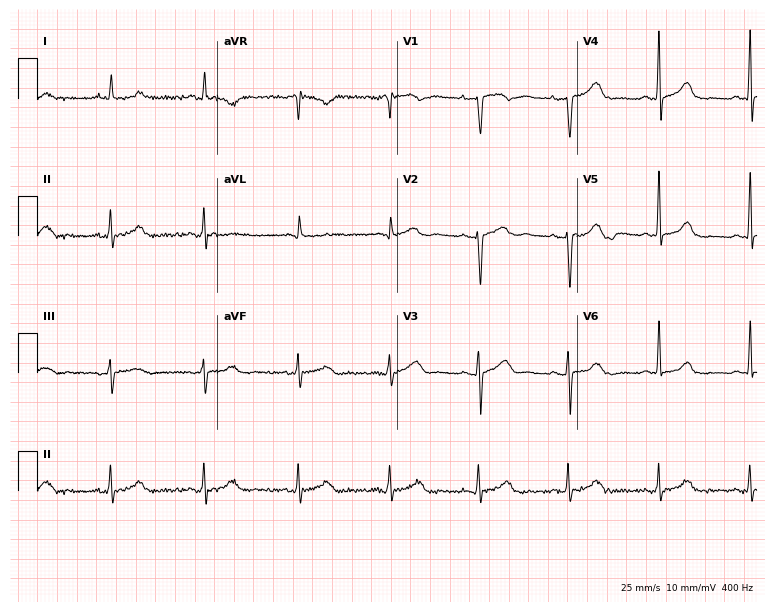
12-lead ECG from a 74-year-old woman. Labelled as a normal ECG.